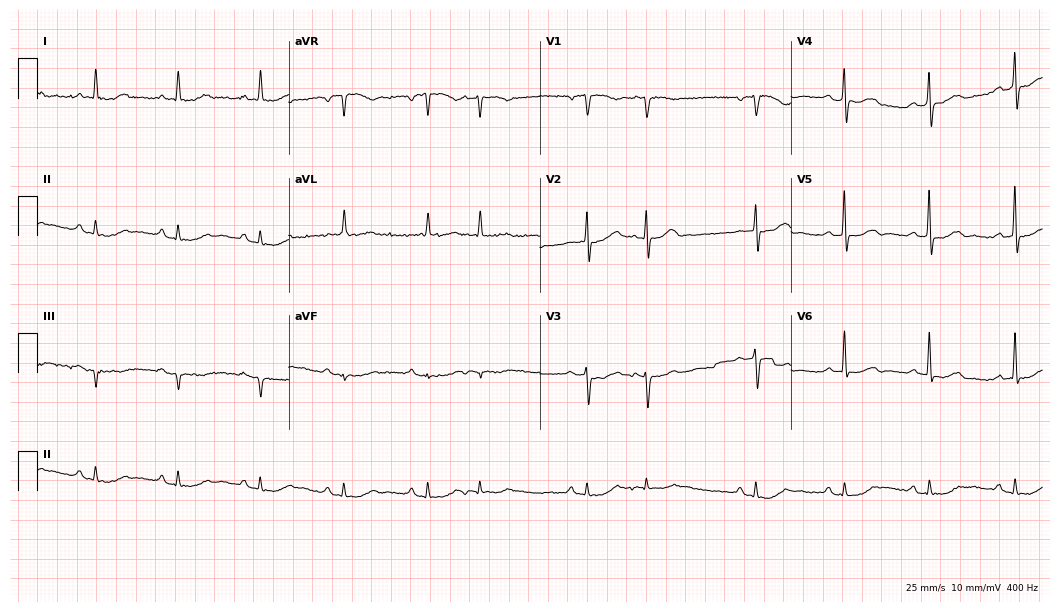
Standard 12-lead ECG recorded from a male patient, 85 years old. None of these six findings is recorded: first-degree AV block, right bundle branch block, left bundle branch block, sinus bradycardia, atrial fibrillation, sinus tachycardia. Findings outside these six are not listed.